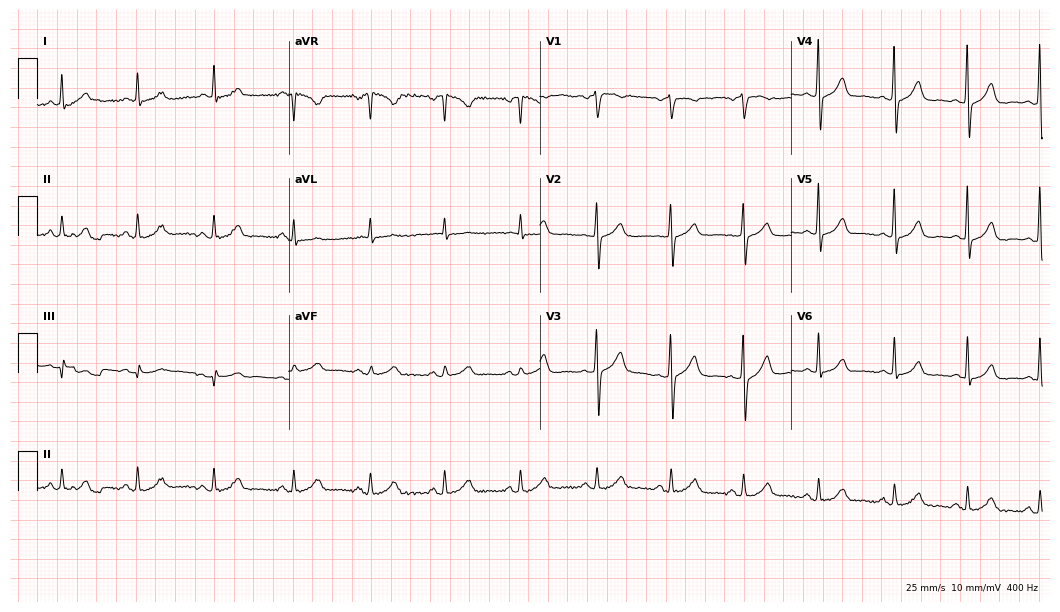
Electrocardiogram (10.2-second recording at 400 Hz), a woman, 63 years old. Overall reading on record: normal ECG.